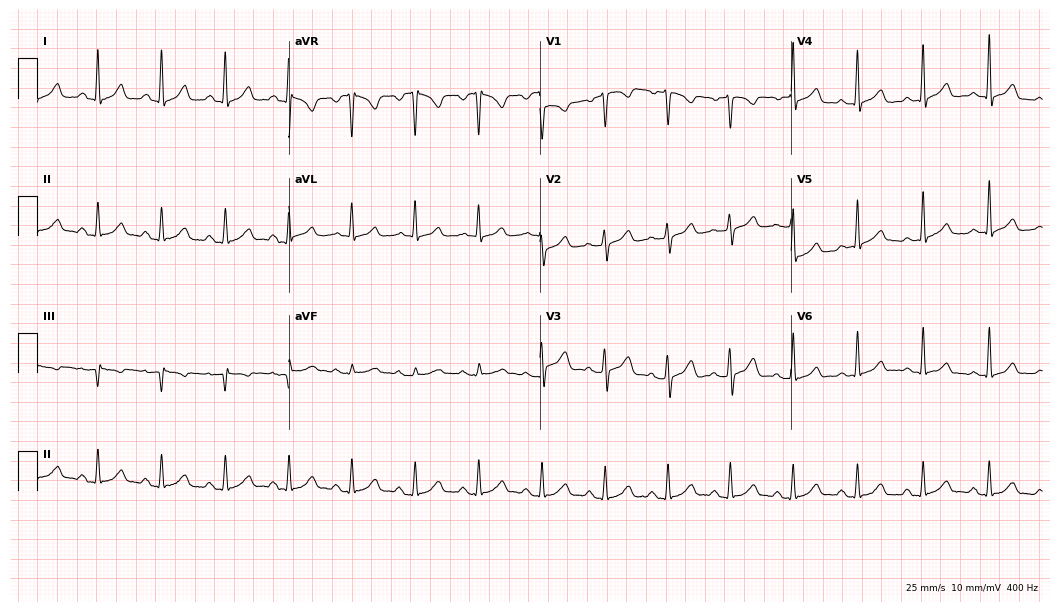
Standard 12-lead ECG recorded from a female, 46 years old (10.2-second recording at 400 Hz). Read as a normal ECG.